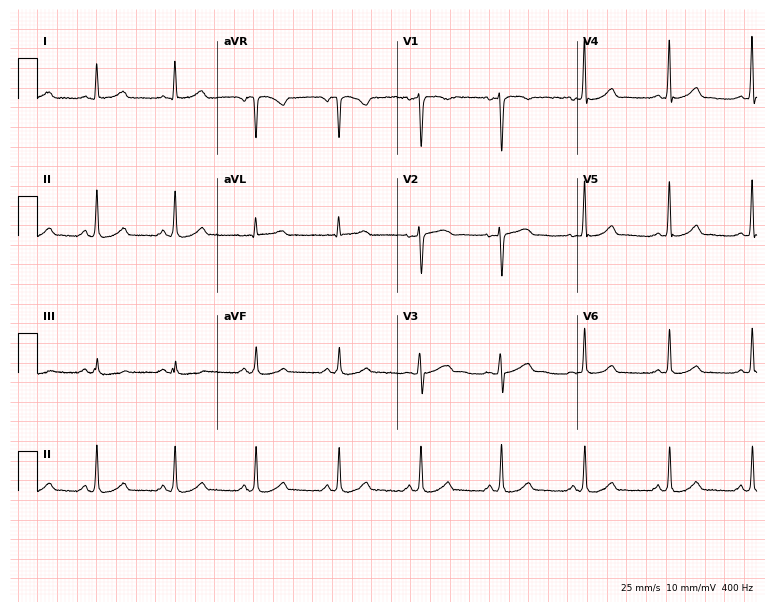
Electrocardiogram, a 38-year-old female. Overall reading on record: normal ECG.